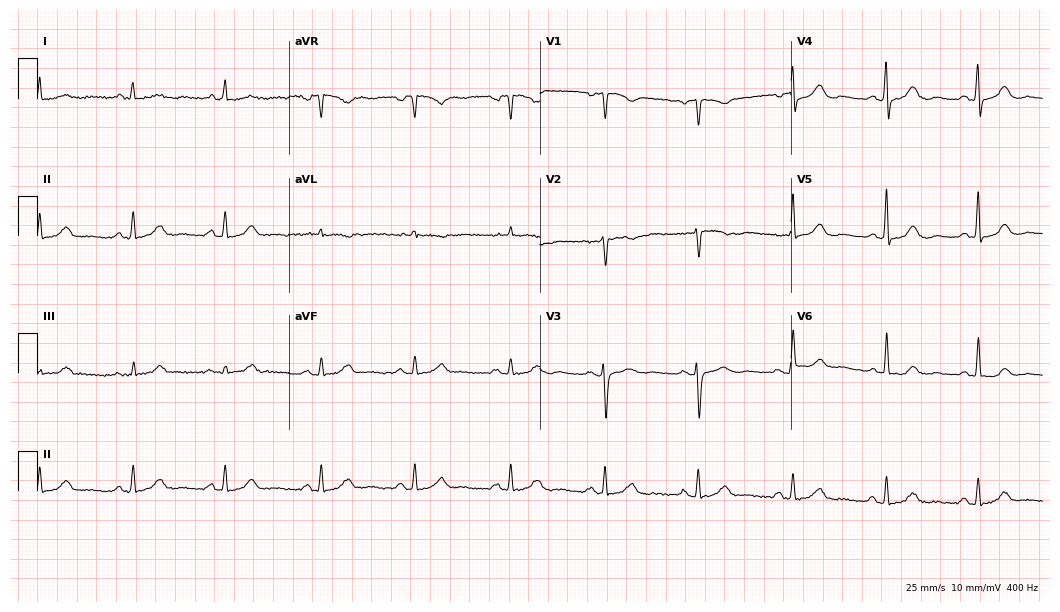
12-lead ECG from a woman, 68 years old. Recorded interpretation: within normal limits.